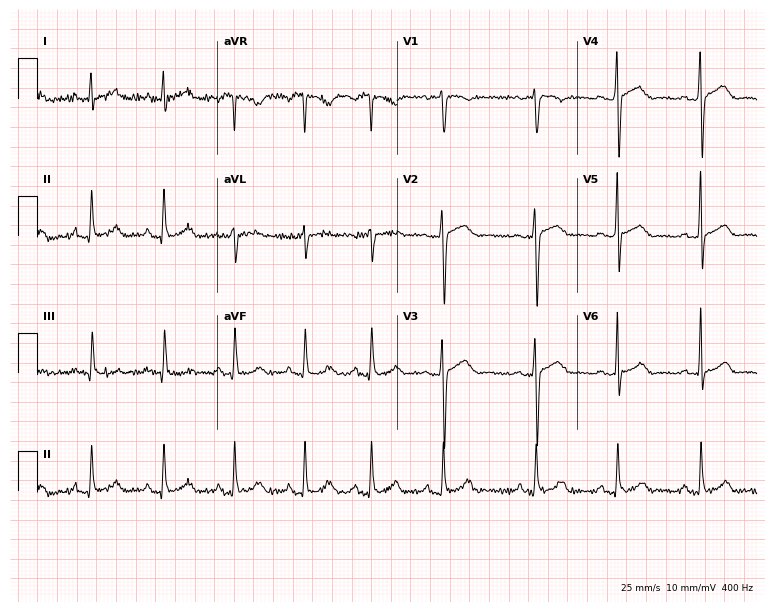
ECG — a 29-year-old female patient. Labelled as a normal ECG.